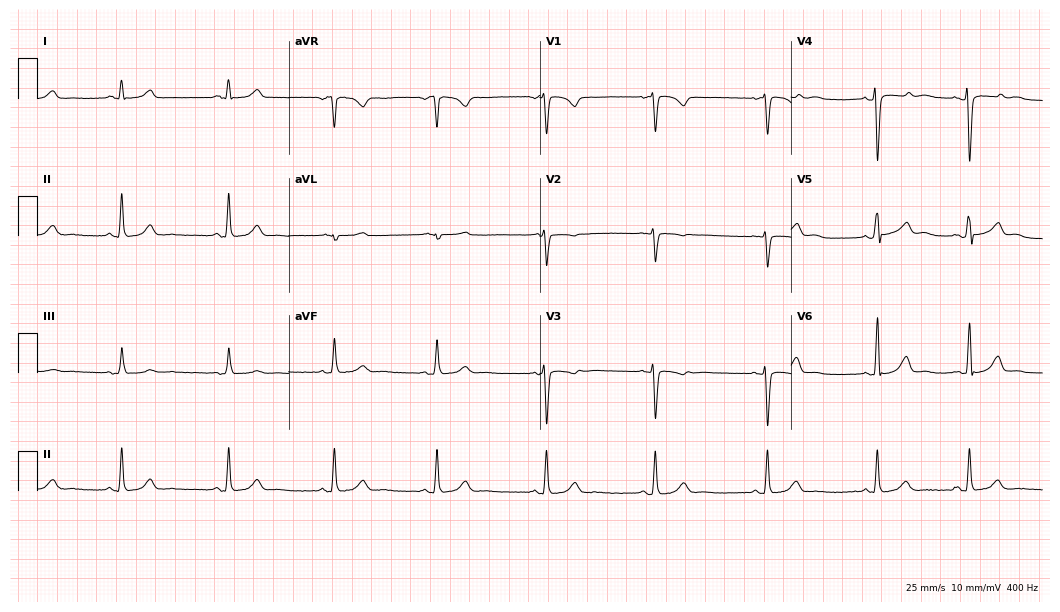
Resting 12-lead electrocardiogram. Patient: a 20-year-old female. Read as a normal ECG.